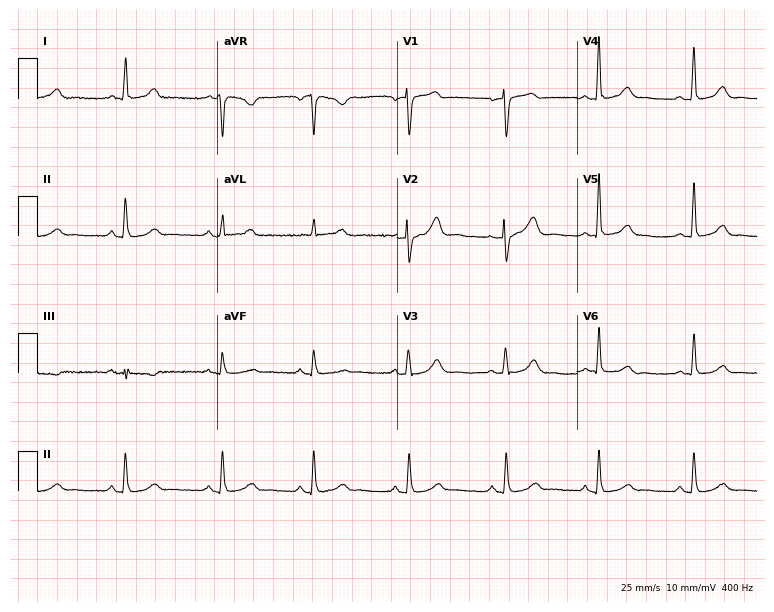
Standard 12-lead ECG recorded from a woman, 52 years old (7.3-second recording at 400 Hz). None of these six findings is recorded: first-degree AV block, right bundle branch block, left bundle branch block, sinus bradycardia, atrial fibrillation, sinus tachycardia.